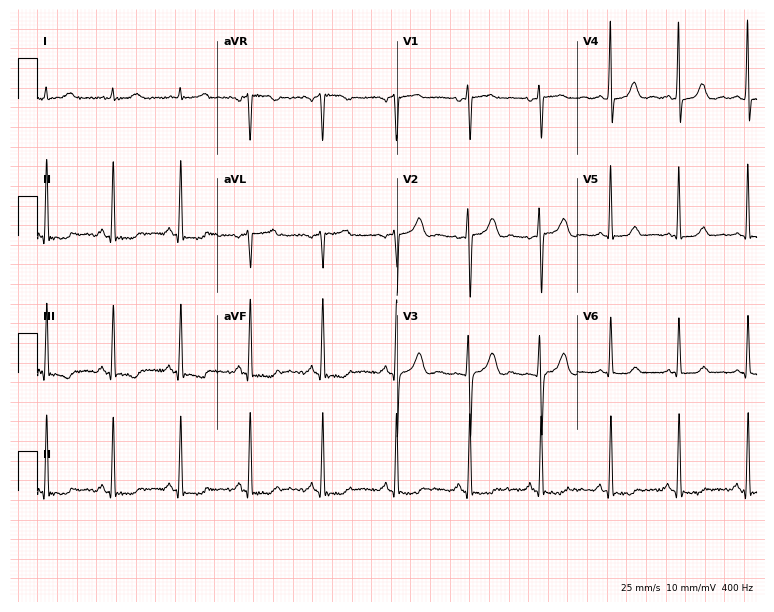
Resting 12-lead electrocardiogram. Patient: a woman, 68 years old. None of these six findings is recorded: first-degree AV block, right bundle branch block, left bundle branch block, sinus bradycardia, atrial fibrillation, sinus tachycardia.